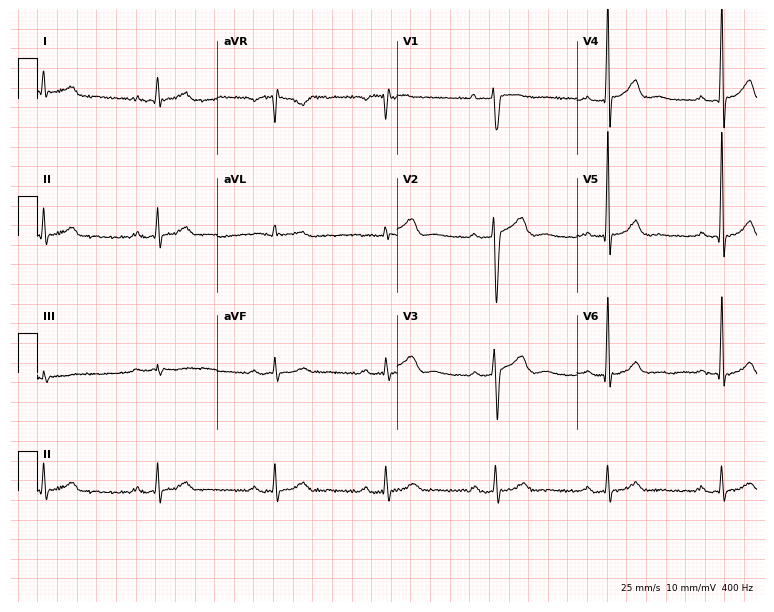
Electrocardiogram (7.3-second recording at 400 Hz), a 34-year-old male patient. Interpretation includes first-degree AV block.